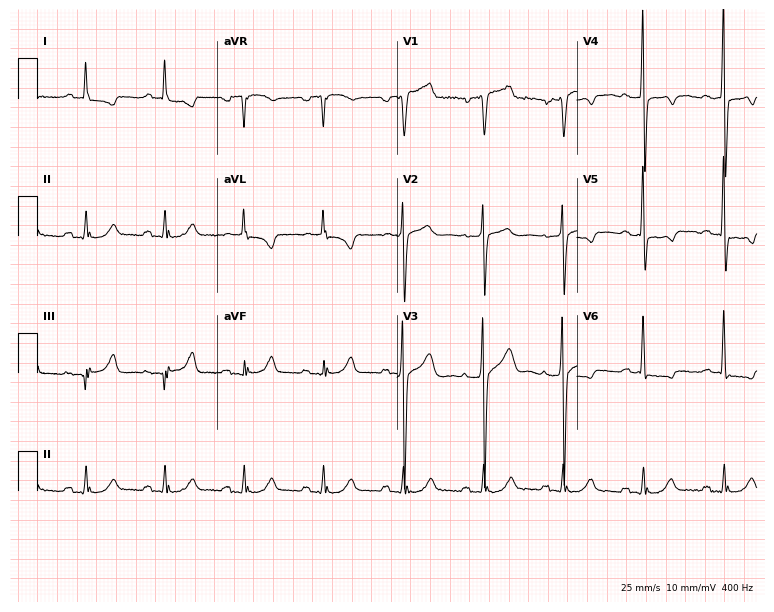
12-lead ECG (7.3-second recording at 400 Hz) from a 55-year-old man. Screened for six findings — first-degree AV block, right bundle branch block, left bundle branch block, sinus bradycardia, atrial fibrillation, sinus tachycardia — none is recorded. Findings outside these six are not listed.